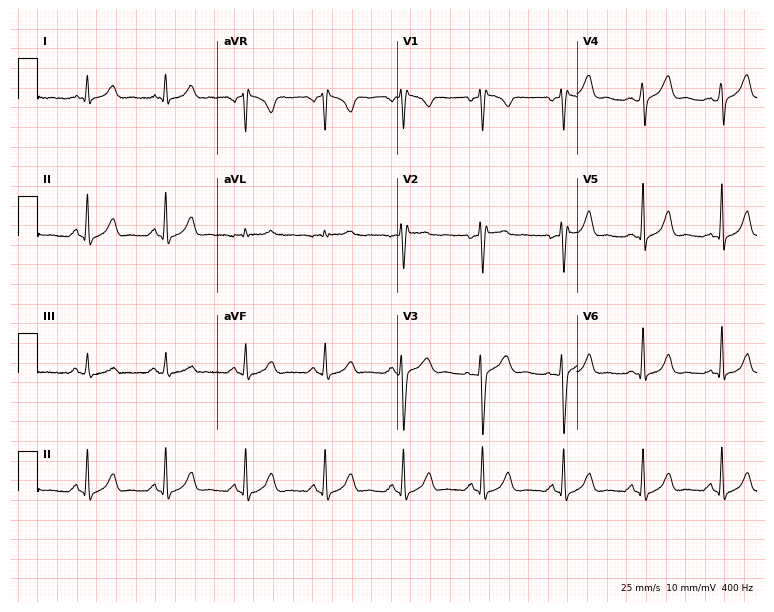
Electrocardiogram (7.3-second recording at 400 Hz), a 44-year-old female. Of the six screened findings (first-degree AV block, right bundle branch block (RBBB), left bundle branch block (LBBB), sinus bradycardia, atrial fibrillation (AF), sinus tachycardia), none is recorded.